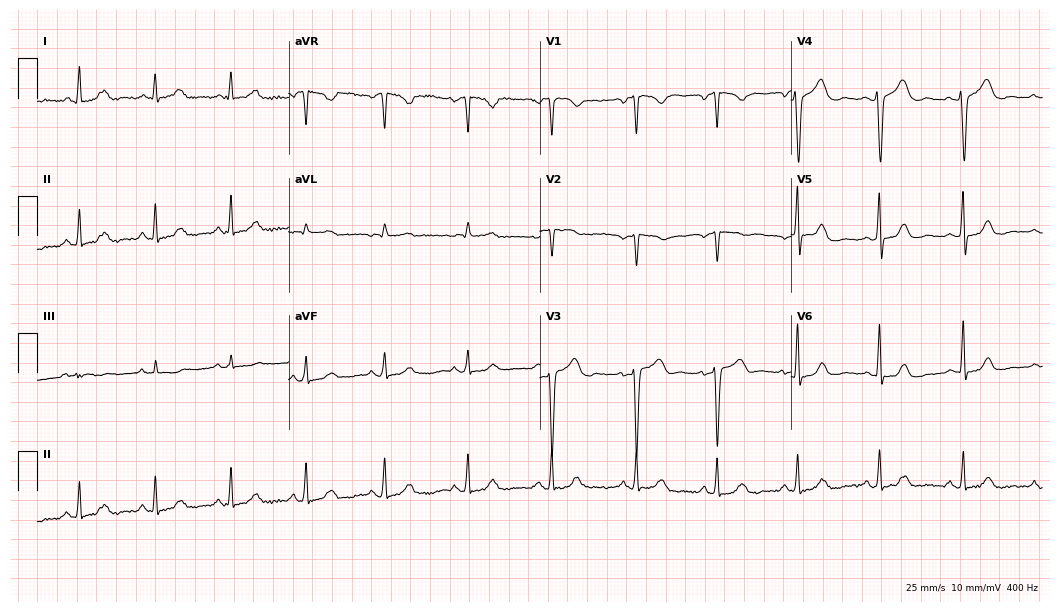
Resting 12-lead electrocardiogram (10.2-second recording at 400 Hz). Patient: a woman, 35 years old. Read as a normal ECG.